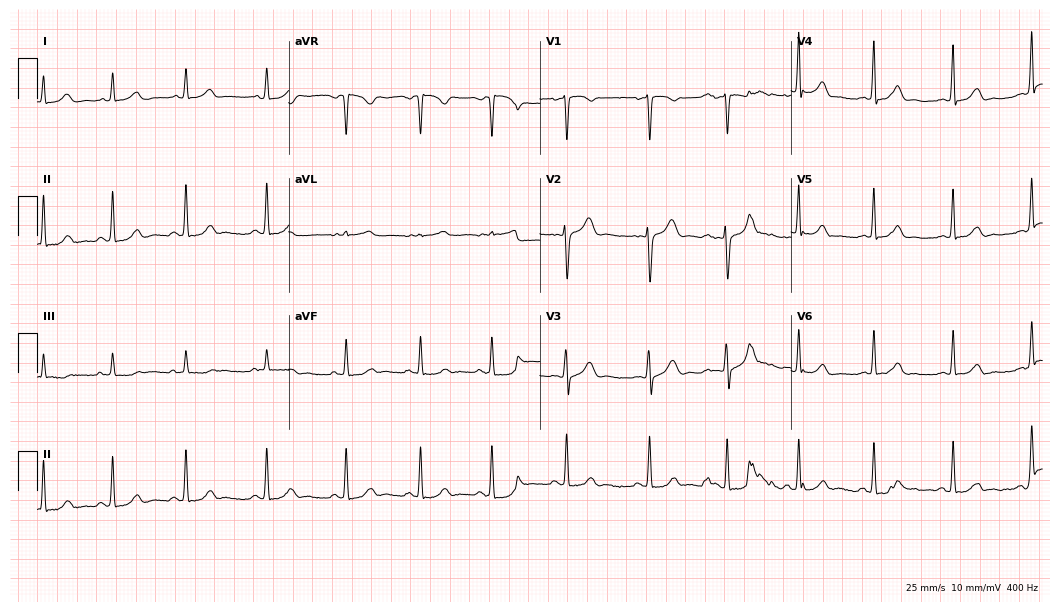
Resting 12-lead electrocardiogram (10.2-second recording at 400 Hz). Patient: a 17-year-old female. Read as a normal ECG.